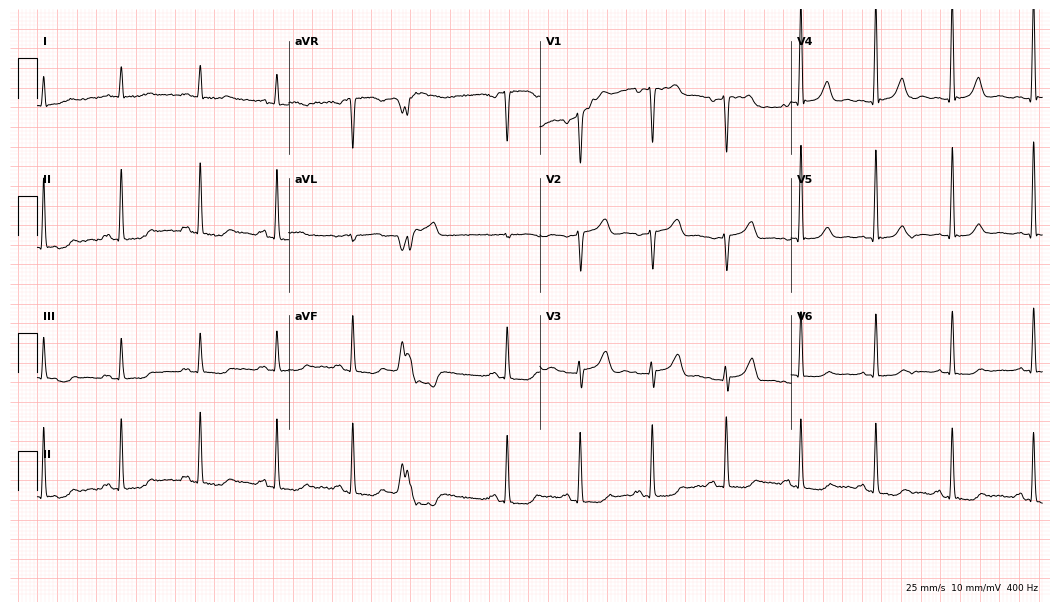
ECG — a male patient, 73 years old. Screened for six findings — first-degree AV block, right bundle branch block (RBBB), left bundle branch block (LBBB), sinus bradycardia, atrial fibrillation (AF), sinus tachycardia — none is recorded.